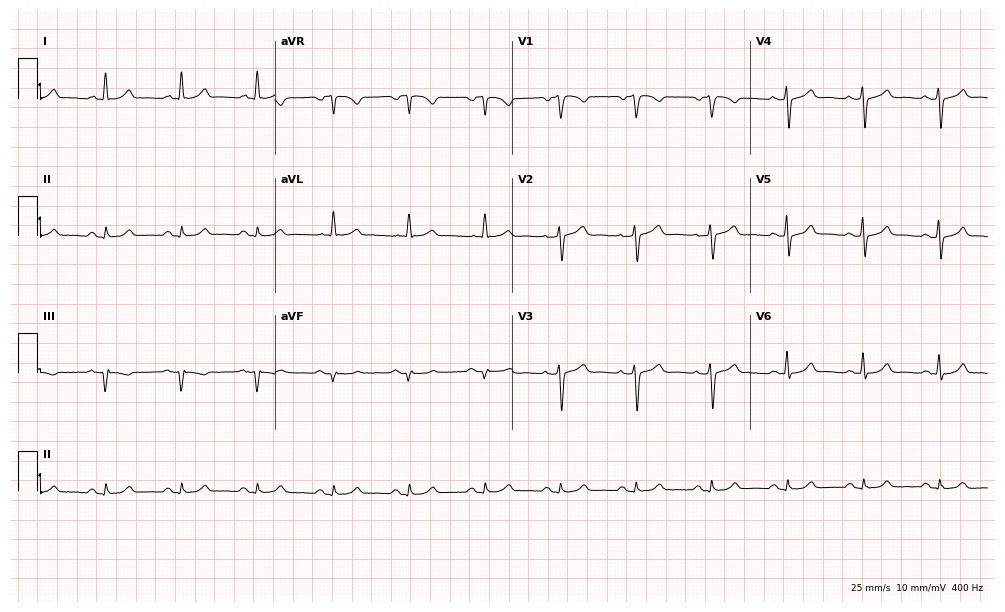
Standard 12-lead ECG recorded from a male patient, 72 years old. Read as a normal ECG.